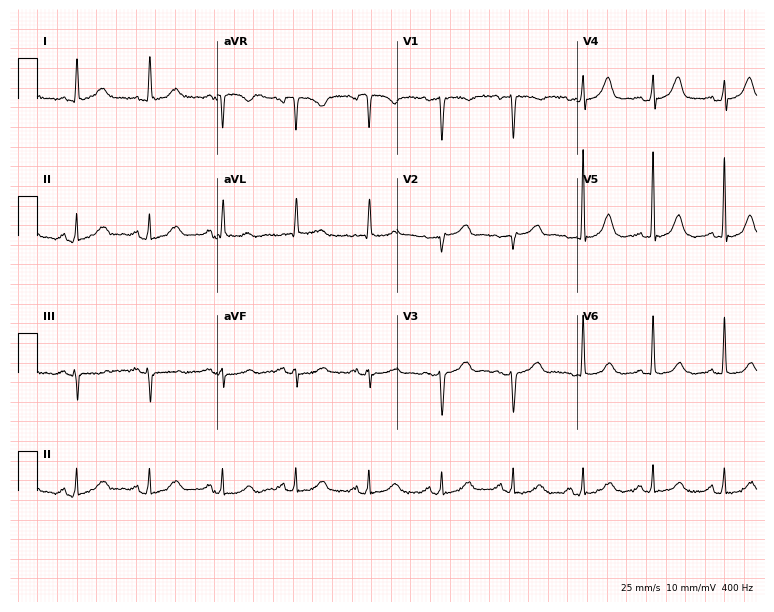
ECG (7.3-second recording at 400 Hz) — a female, 69 years old. Labelled as a normal ECG.